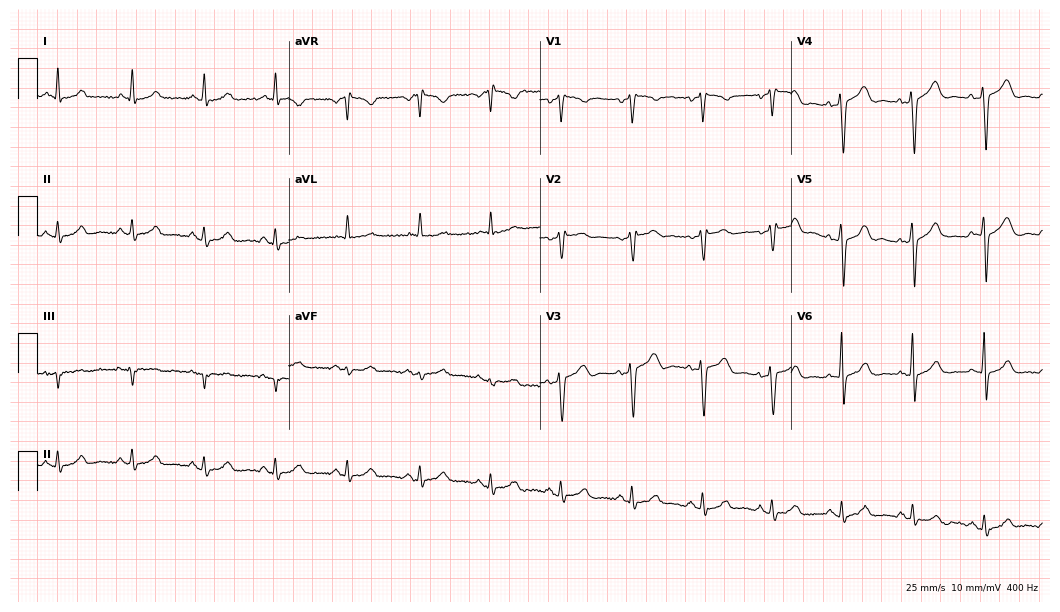
12-lead ECG from a 55-year-old male patient (10.2-second recording at 400 Hz). Recorded interpretation: within normal limits.